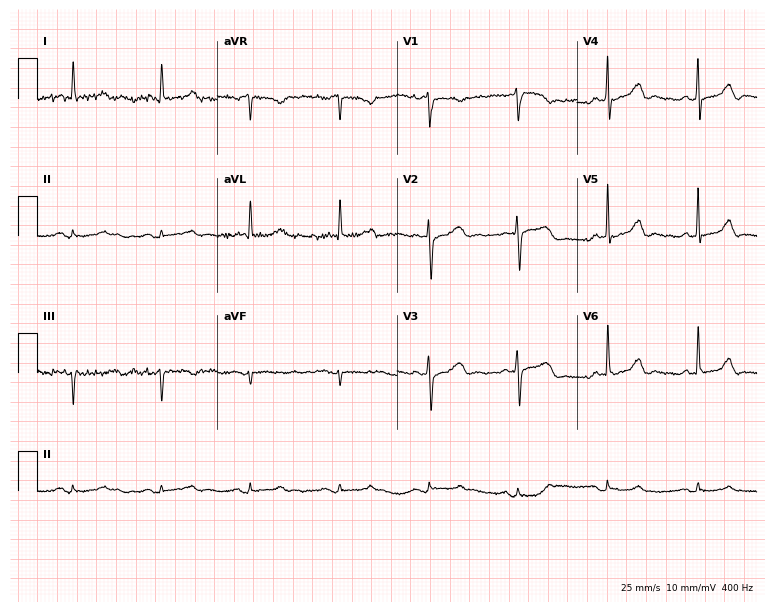
Resting 12-lead electrocardiogram (7.3-second recording at 400 Hz). Patient: an 82-year-old woman. None of these six findings is recorded: first-degree AV block, right bundle branch block (RBBB), left bundle branch block (LBBB), sinus bradycardia, atrial fibrillation (AF), sinus tachycardia. Only these six findings were labelled.